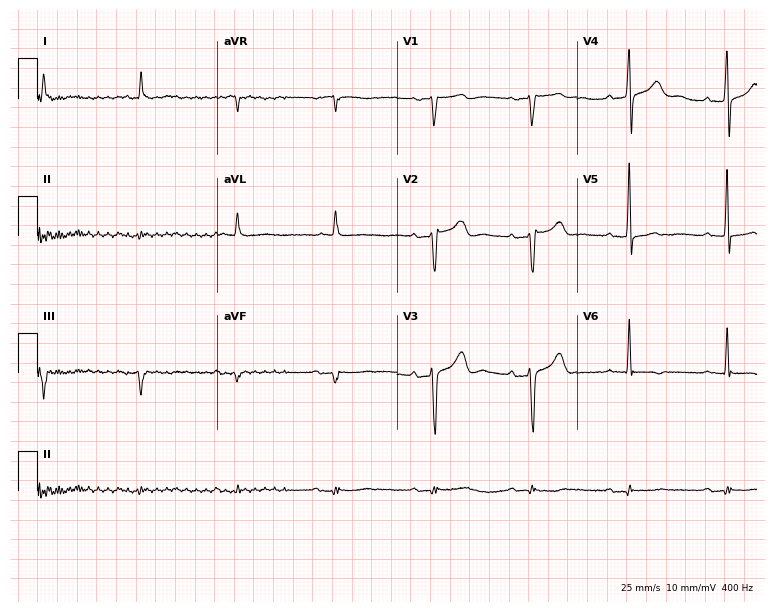
12-lead ECG from a 69-year-old man. No first-degree AV block, right bundle branch block (RBBB), left bundle branch block (LBBB), sinus bradycardia, atrial fibrillation (AF) or sinus tachycardia recorded for this tracing.